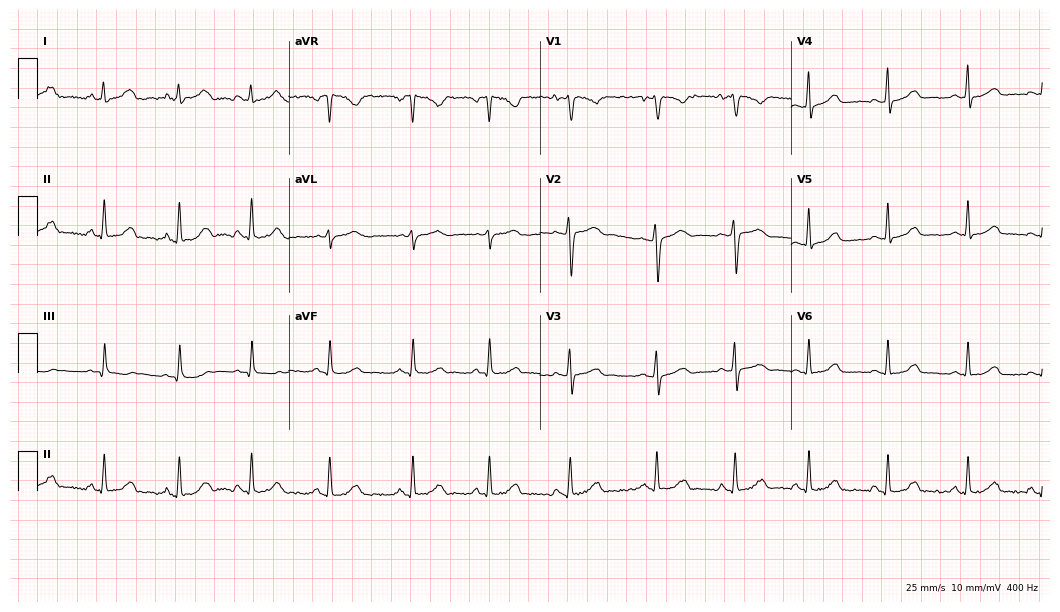
Standard 12-lead ECG recorded from a 26-year-old woman (10.2-second recording at 400 Hz). Read as a normal ECG.